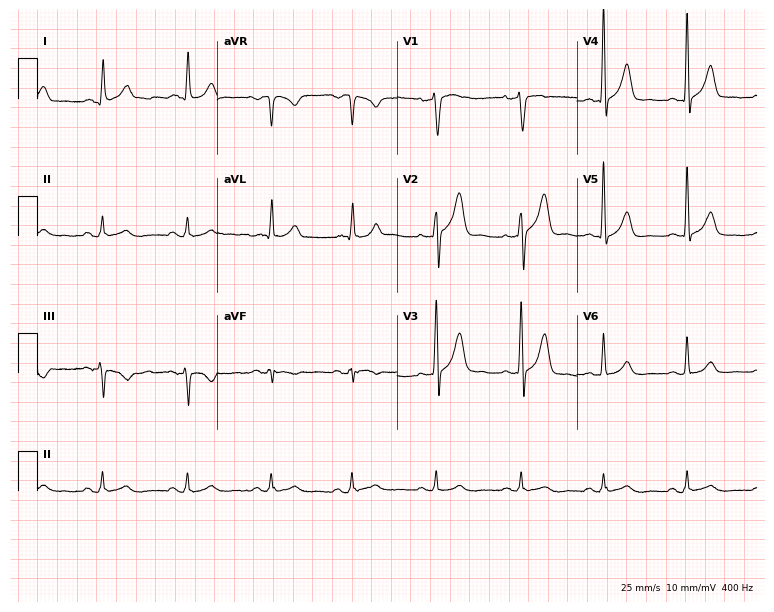
Standard 12-lead ECG recorded from a male patient, 51 years old. None of these six findings is recorded: first-degree AV block, right bundle branch block, left bundle branch block, sinus bradycardia, atrial fibrillation, sinus tachycardia. Only these six findings were labelled.